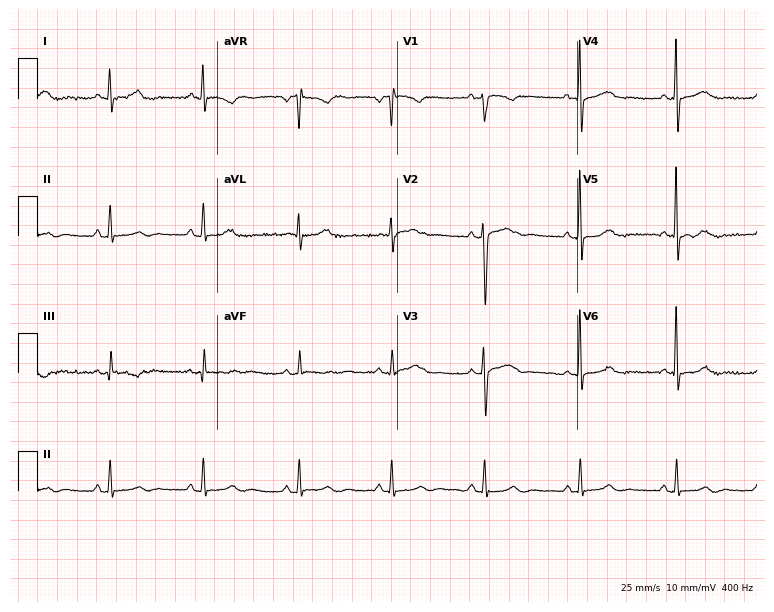
12-lead ECG from a 54-year-old female. No first-degree AV block, right bundle branch block, left bundle branch block, sinus bradycardia, atrial fibrillation or sinus tachycardia recorded for this tracing. Findings outside these six are not listed.